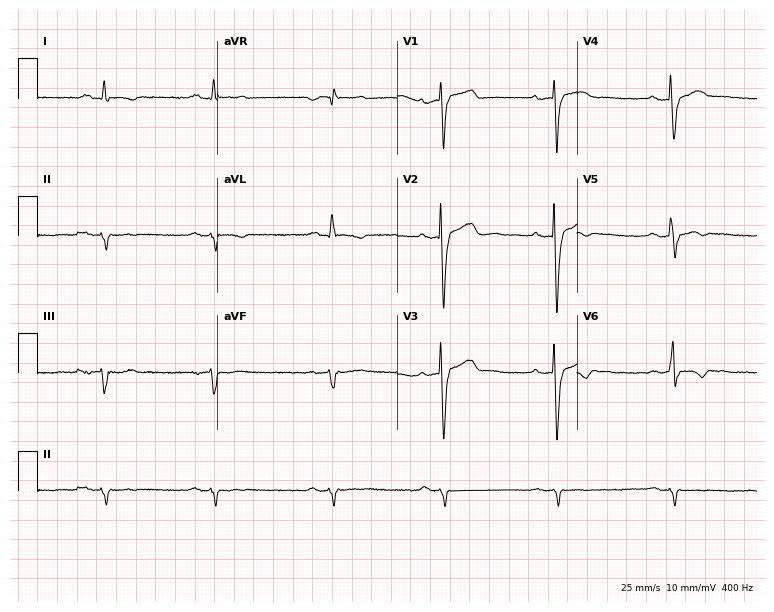
12-lead ECG from a man, 41 years old (7.3-second recording at 400 Hz). No first-degree AV block, right bundle branch block, left bundle branch block, sinus bradycardia, atrial fibrillation or sinus tachycardia recorded for this tracing. Findings outside these six are not listed.